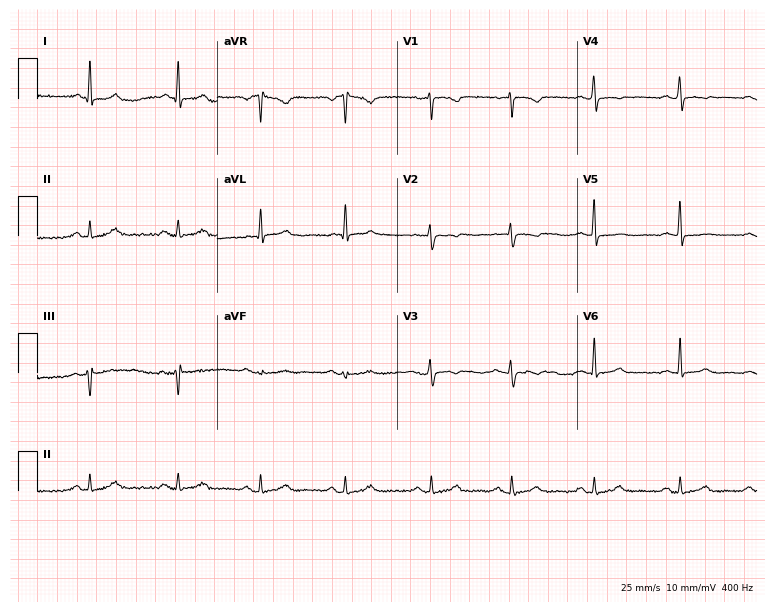
12-lead ECG from a 38-year-old female patient (7.3-second recording at 400 Hz). No first-degree AV block, right bundle branch block (RBBB), left bundle branch block (LBBB), sinus bradycardia, atrial fibrillation (AF) or sinus tachycardia recorded for this tracing. Only these six findings were labelled.